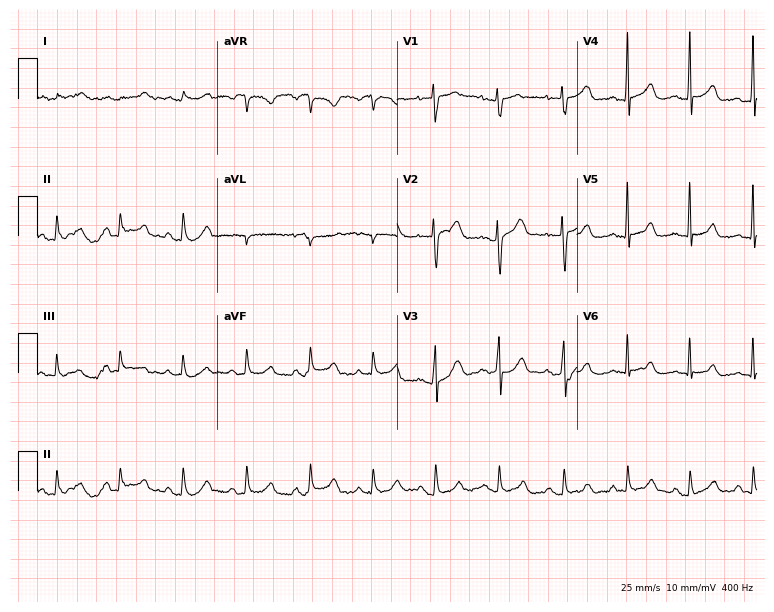
12-lead ECG from a 19-year-old woman. Recorded interpretation: within normal limits.